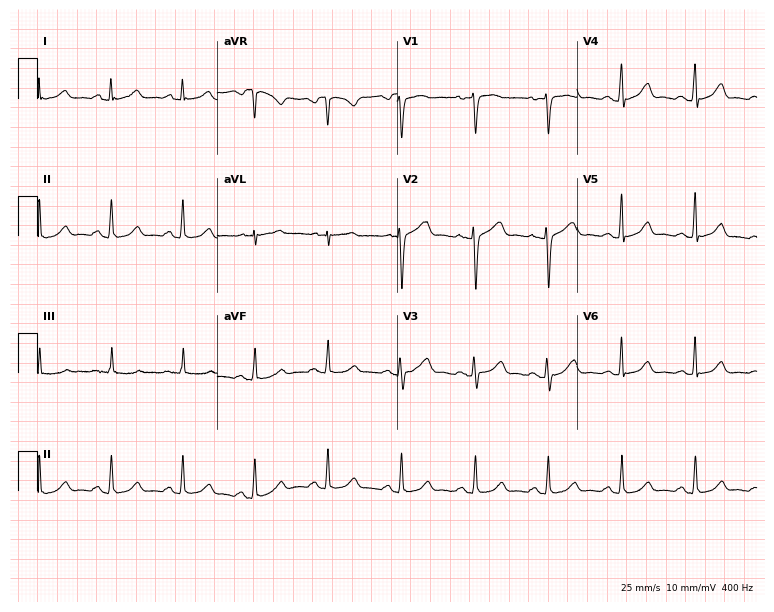
ECG — a female, 39 years old. Labelled as a normal ECG.